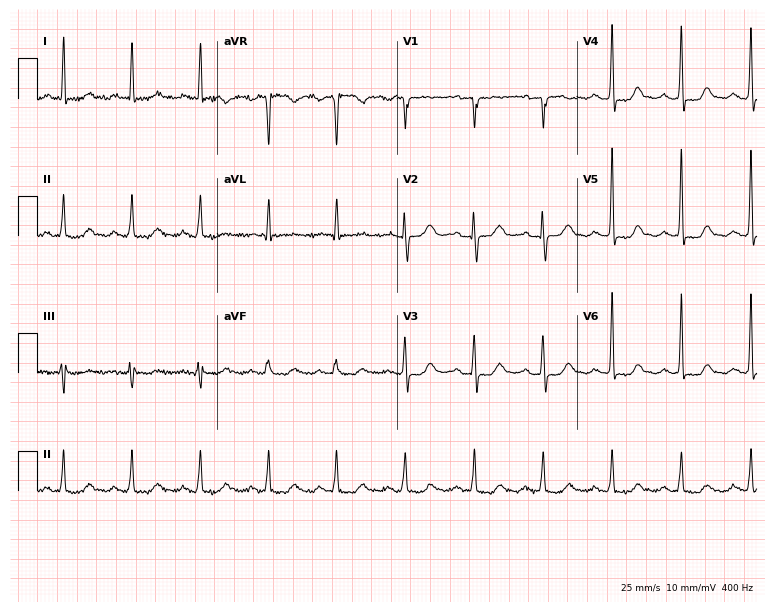
Standard 12-lead ECG recorded from an 82-year-old woman. None of these six findings is recorded: first-degree AV block, right bundle branch block, left bundle branch block, sinus bradycardia, atrial fibrillation, sinus tachycardia.